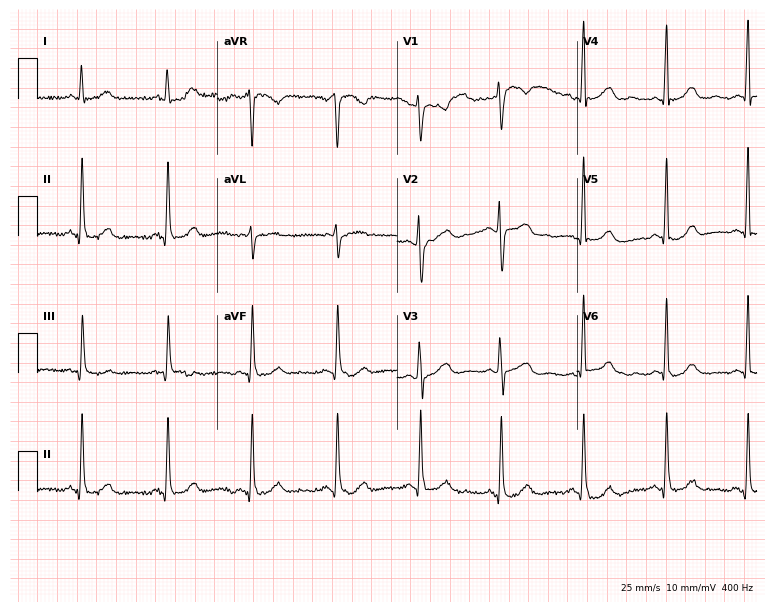
Standard 12-lead ECG recorded from a woman, 47 years old. Read as a normal ECG.